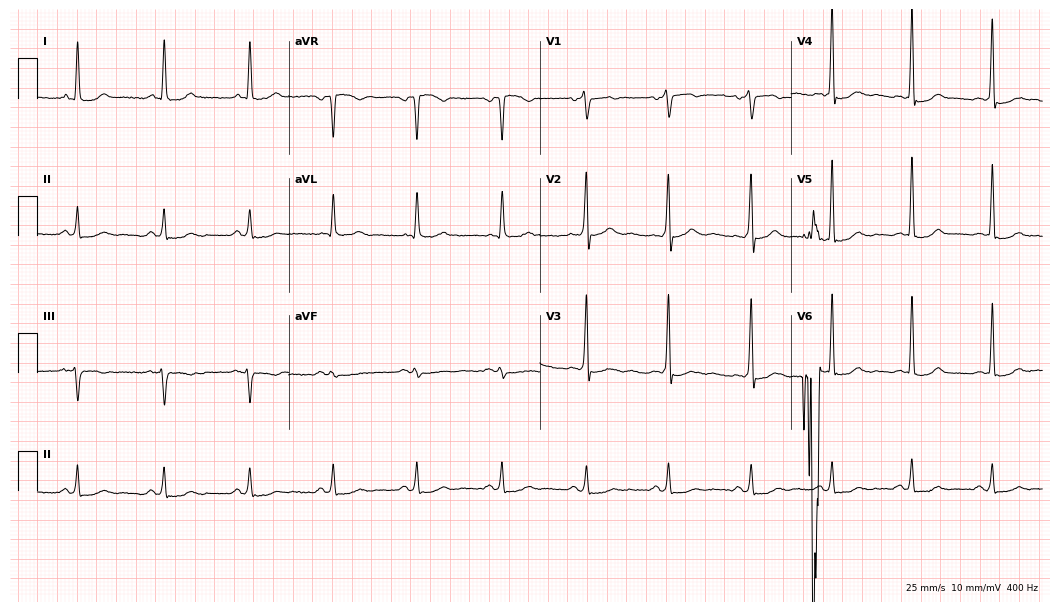
Electrocardiogram, a man, 66 years old. Of the six screened findings (first-degree AV block, right bundle branch block, left bundle branch block, sinus bradycardia, atrial fibrillation, sinus tachycardia), none is recorded.